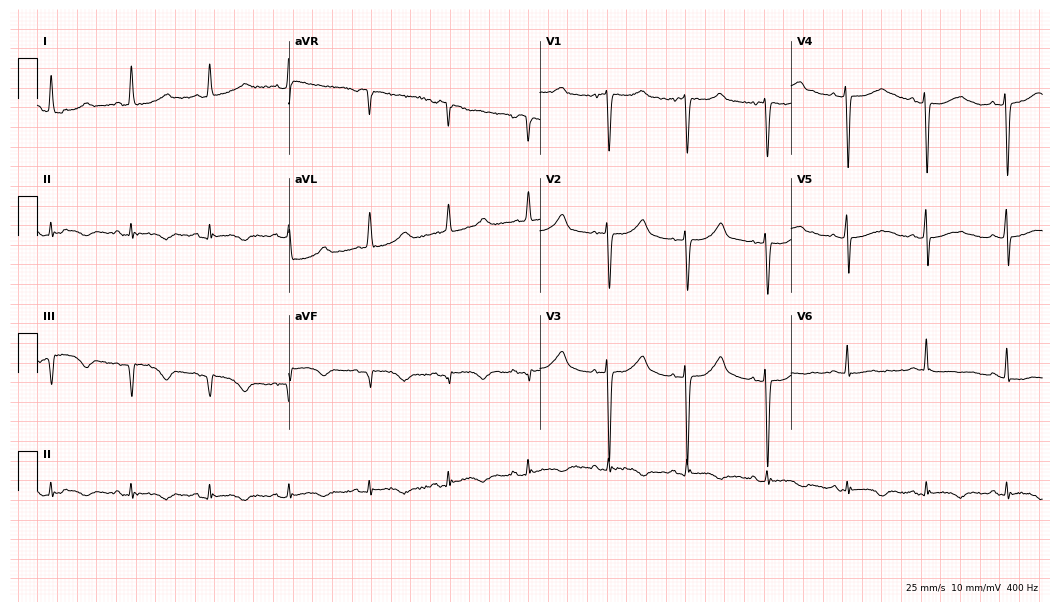
12-lead ECG from a 78-year-old woman (10.2-second recording at 400 Hz). No first-degree AV block, right bundle branch block (RBBB), left bundle branch block (LBBB), sinus bradycardia, atrial fibrillation (AF) or sinus tachycardia recorded for this tracing.